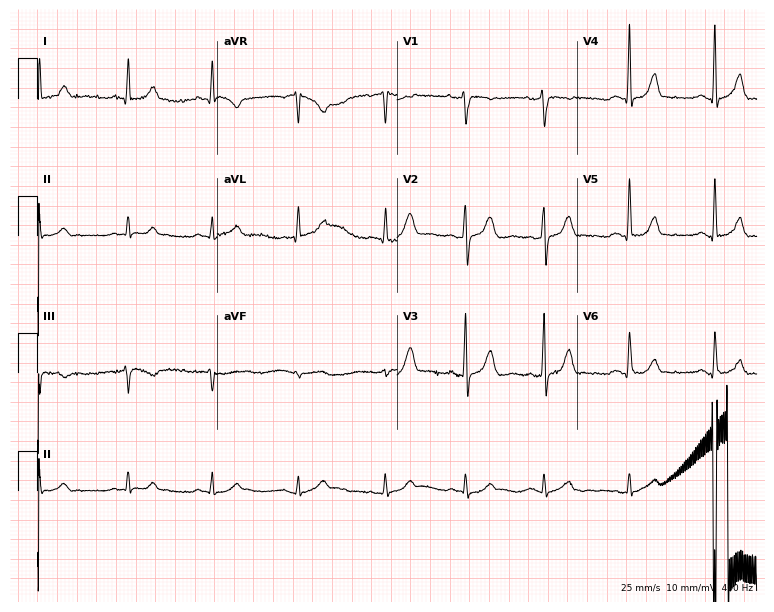
Standard 12-lead ECG recorded from a 50-year-old woman (7.3-second recording at 400 Hz). None of these six findings is recorded: first-degree AV block, right bundle branch block (RBBB), left bundle branch block (LBBB), sinus bradycardia, atrial fibrillation (AF), sinus tachycardia. Findings outside these six are not listed.